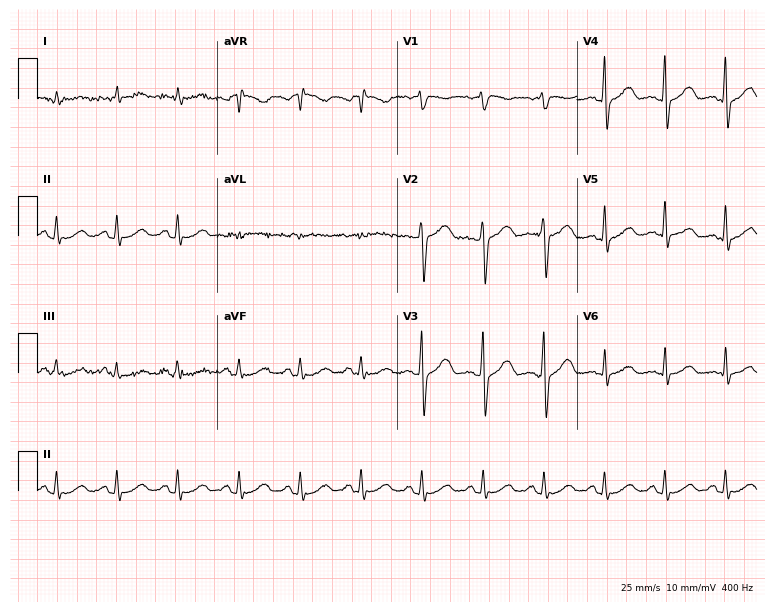
12-lead ECG from a 63-year-old man. Labelled as a normal ECG.